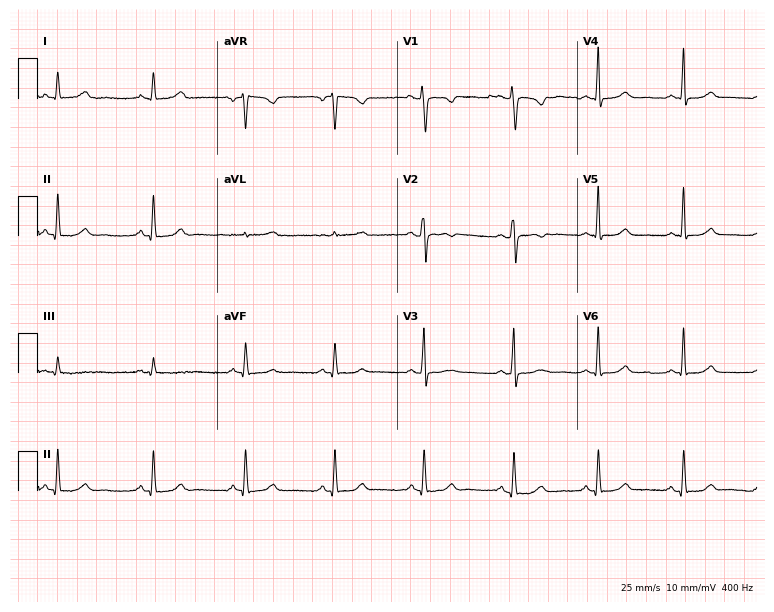
ECG (7.3-second recording at 400 Hz) — a 35-year-old female patient. Labelled as a normal ECG.